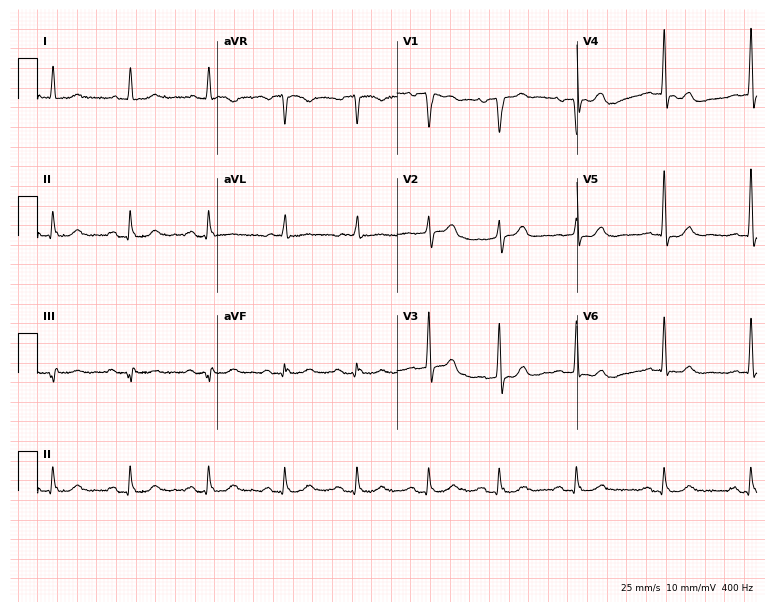
12-lead ECG (7.3-second recording at 400 Hz) from a male, 76 years old. Screened for six findings — first-degree AV block, right bundle branch block (RBBB), left bundle branch block (LBBB), sinus bradycardia, atrial fibrillation (AF), sinus tachycardia — none is recorded. Only these six findings were labelled.